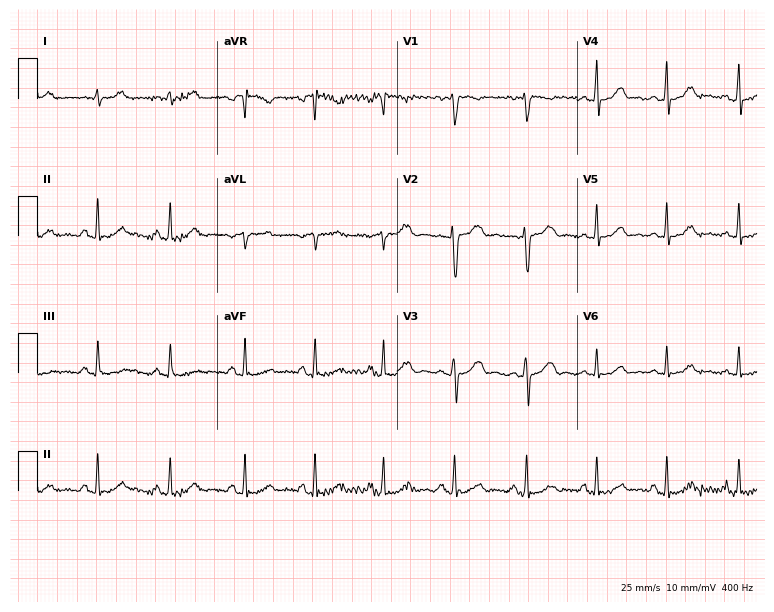
ECG (7.3-second recording at 400 Hz) — a 27-year-old female patient. Labelled as a normal ECG.